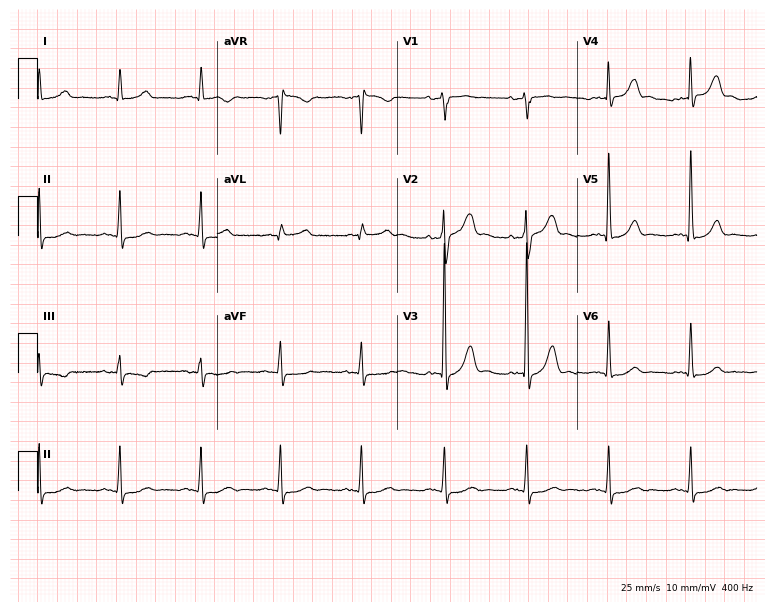
ECG — a 72-year-old man. Screened for six findings — first-degree AV block, right bundle branch block, left bundle branch block, sinus bradycardia, atrial fibrillation, sinus tachycardia — none is recorded.